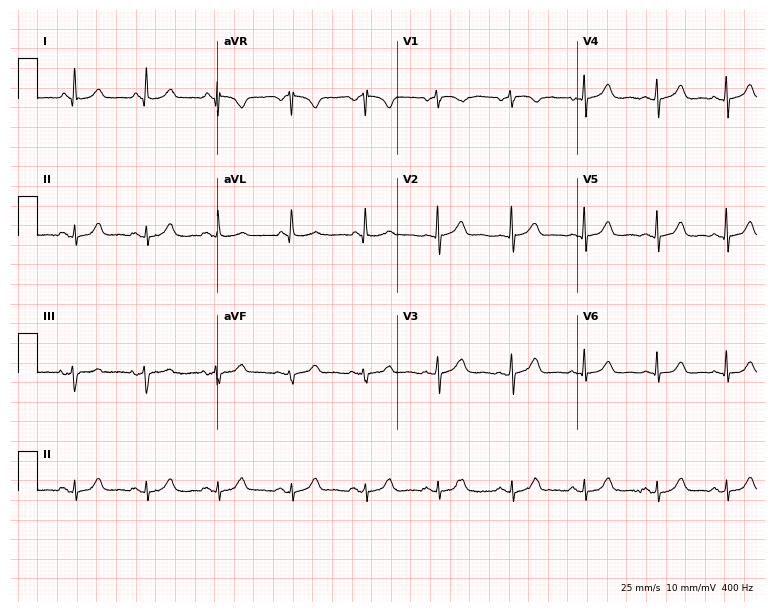
Standard 12-lead ECG recorded from an 84-year-old female patient (7.3-second recording at 400 Hz). Read as a normal ECG.